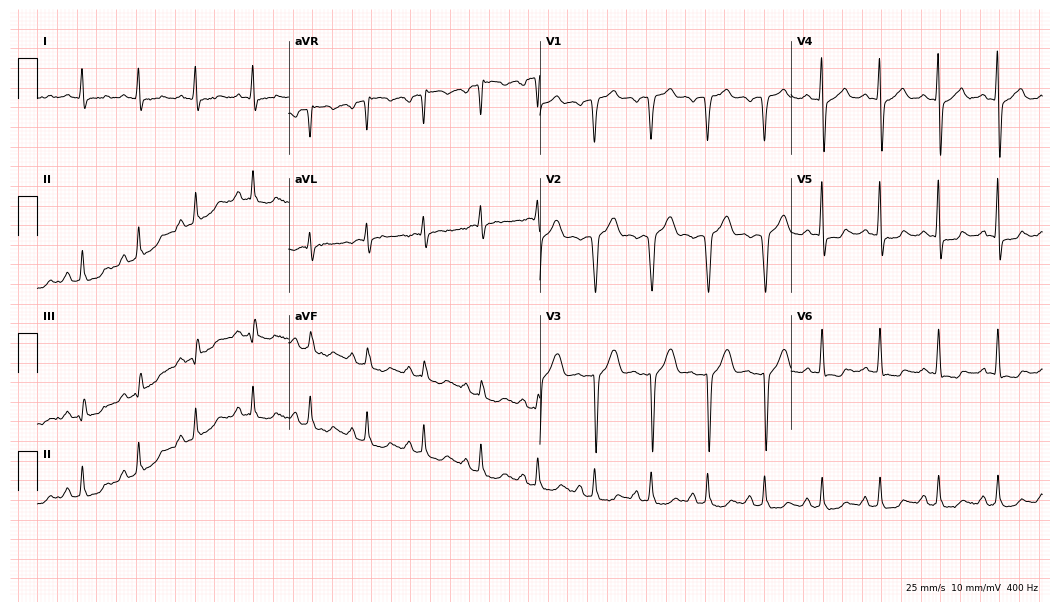
Electrocardiogram (10.2-second recording at 400 Hz), a 61-year-old man. Of the six screened findings (first-degree AV block, right bundle branch block, left bundle branch block, sinus bradycardia, atrial fibrillation, sinus tachycardia), none is recorded.